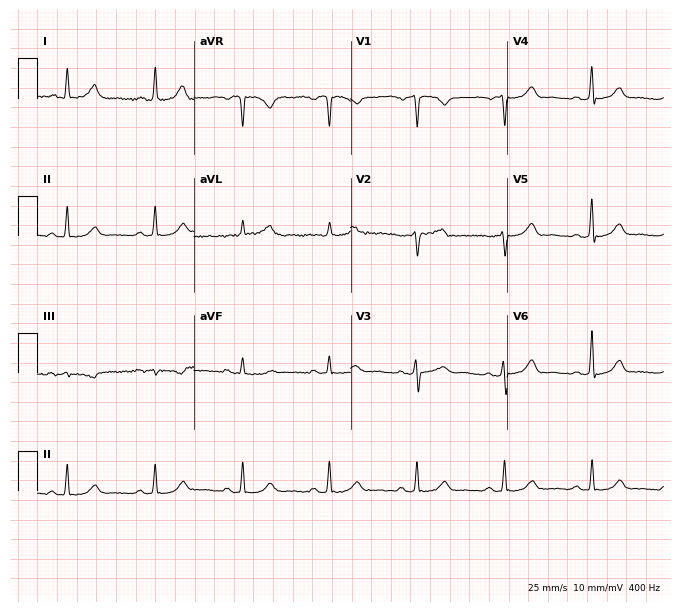
Electrocardiogram, a female patient, 51 years old. Of the six screened findings (first-degree AV block, right bundle branch block, left bundle branch block, sinus bradycardia, atrial fibrillation, sinus tachycardia), none is recorded.